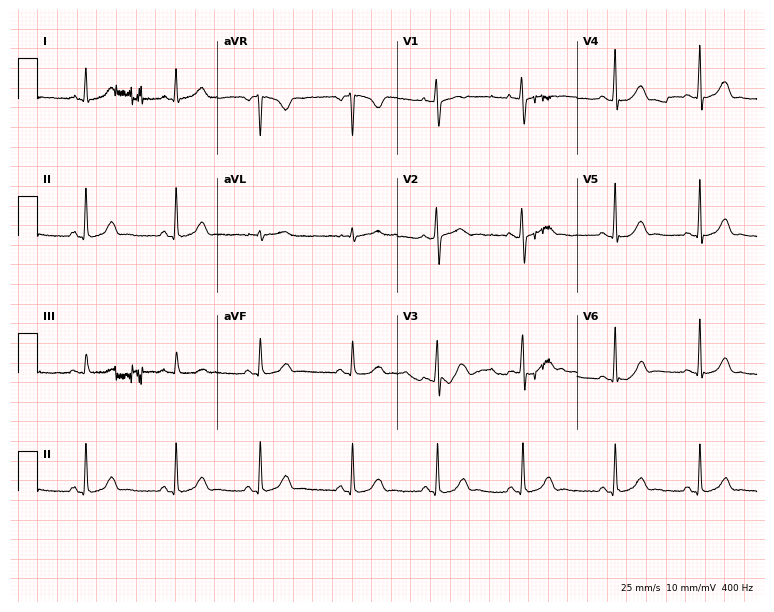
Electrocardiogram (7.3-second recording at 400 Hz), a female patient, 23 years old. Overall reading on record: normal ECG.